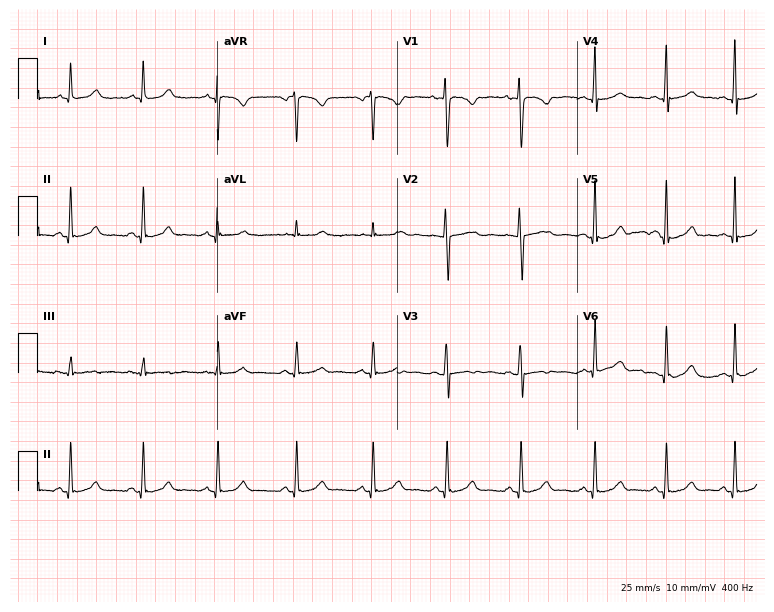
Electrocardiogram (7.3-second recording at 400 Hz), a 32-year-old female. Overall reading on record: normal ECG.